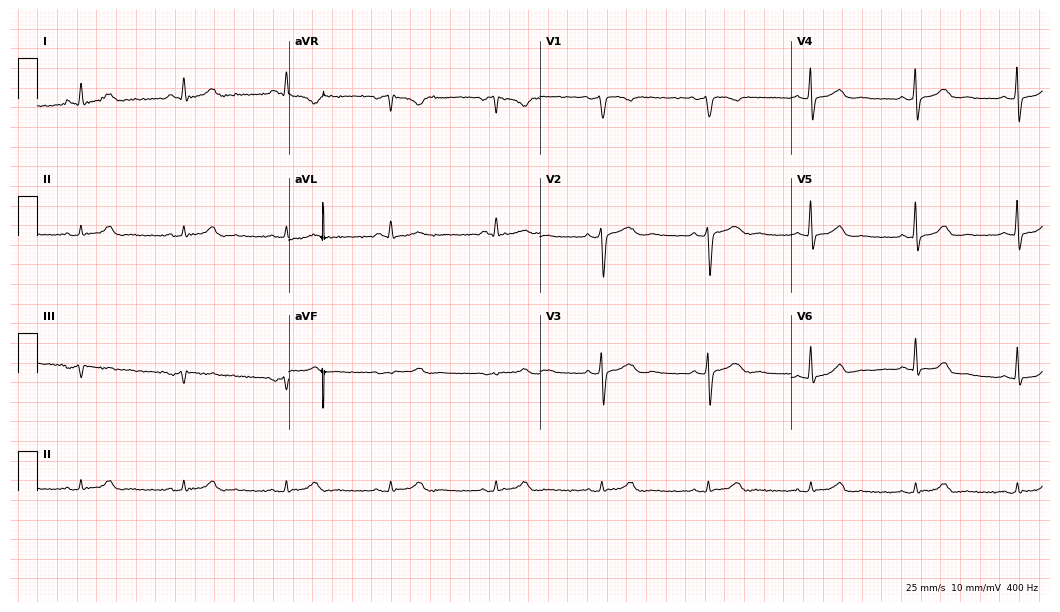
12-lead ECG from a woman, 42 years old. Labelled as a normal ECG.